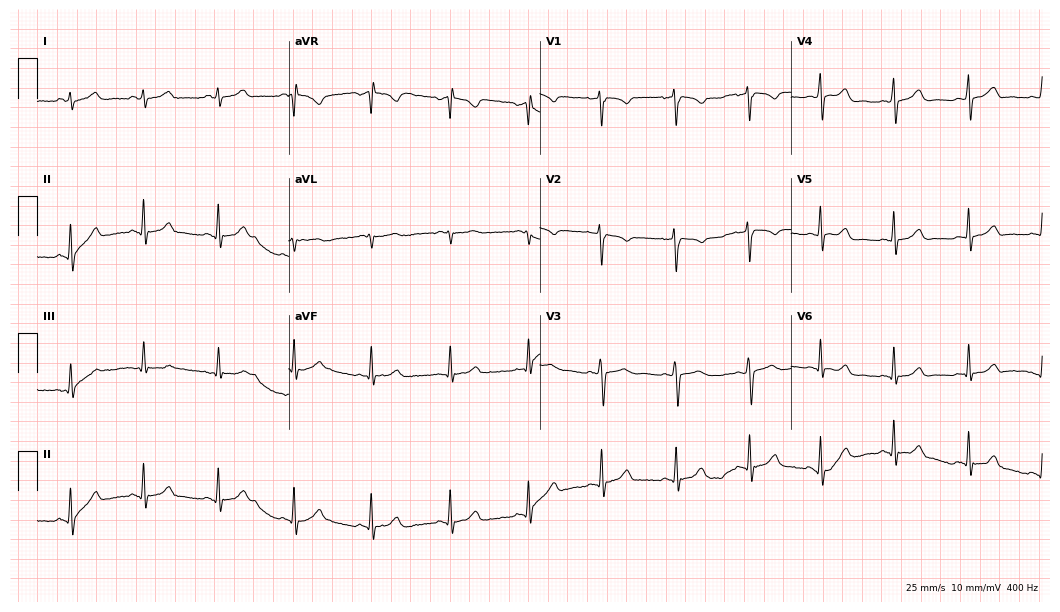
12-lead ECG from a female, 18 years old (10.2-second recording at 400 Hz). Recorded interpretation: within normal limits.